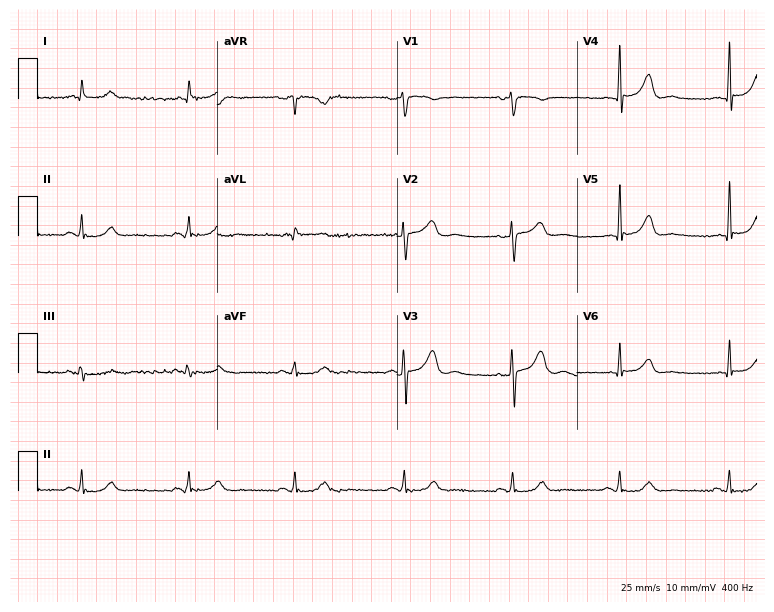
12-lead ECG (7.3-second recording at 400 Hz) from a 66-year-old male patient. Screened for six findings — first-degree AV block, right bundle branch block (RBBB), left bundle branch block (LBBB), sinus bradycardia, atrial fibrillation (AF), sinus tachycardia — none is recorded. Only these six findings were labelled.